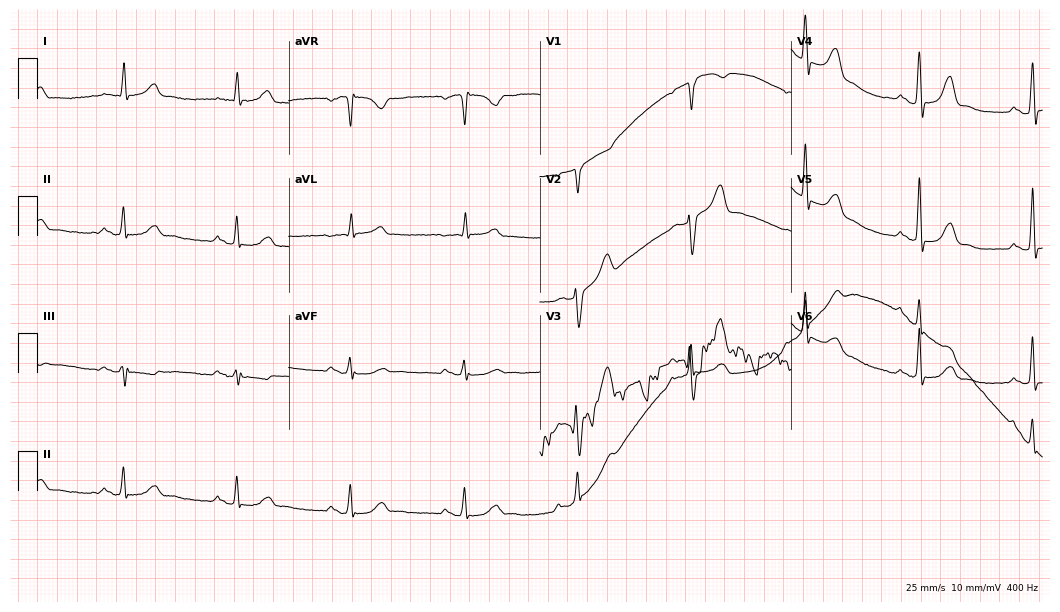
12-lead ECG from a male patient, 68 years old. Labelled as a normal ECG.